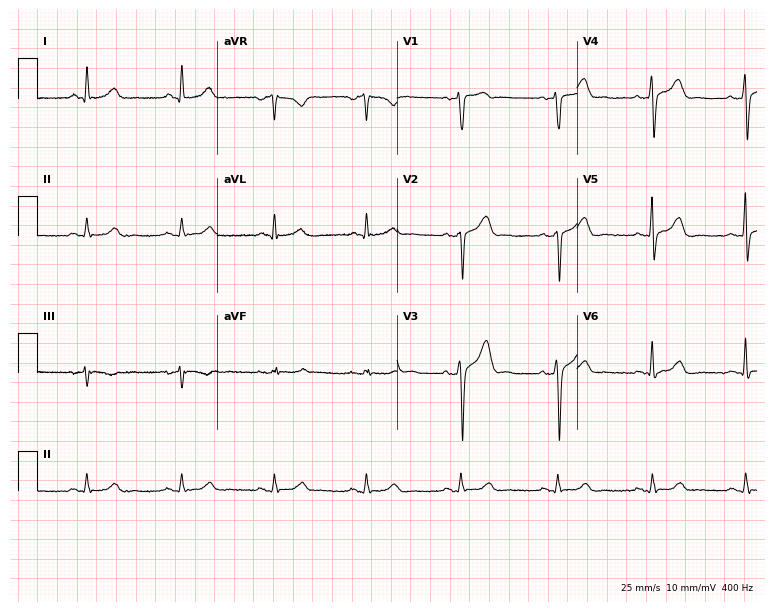
Resting 12-lead electrocardiogram (7.3-second recording at 400 Hz). Patient: a 62-year-old male. Read as a normal ECG.